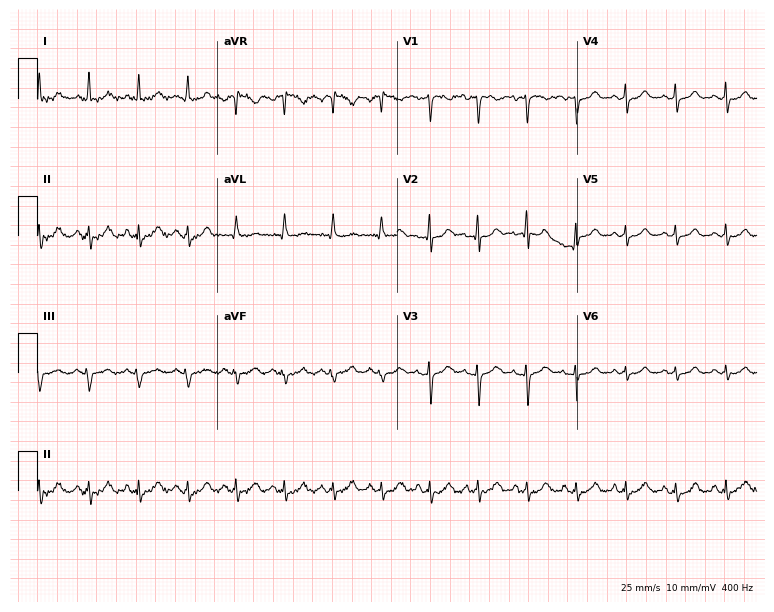
12-lead ECG (7.3-second recording at 400 Hz) from a female, 48 years old. Findings include sinus tachycardia (a sinus rate of 100 beats per minute or more).